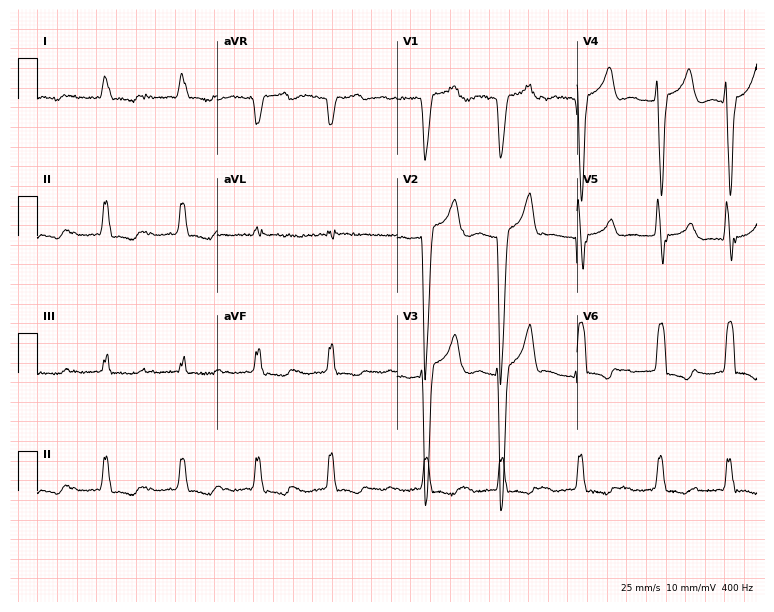
ECG (7.3-second recording at 400 Hz) — a 76-year-old woman. Findings include left bundle branch block (LBBB), atrial fibrillation (AF).